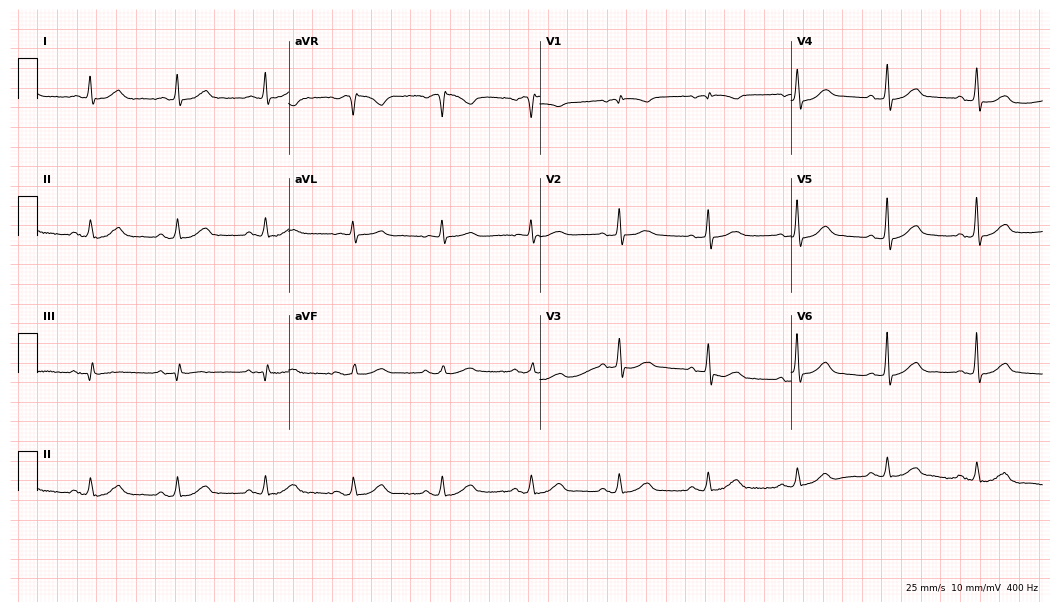
12-lead ECG from an 82-year-old male patient. Screened for six findings — first-degree AV block, right bundle branch block, left bundle branch block, sinus bradycardia, atrial fibrillation, sinus tachycardia — none is recorded. Only these six findings were labelled.